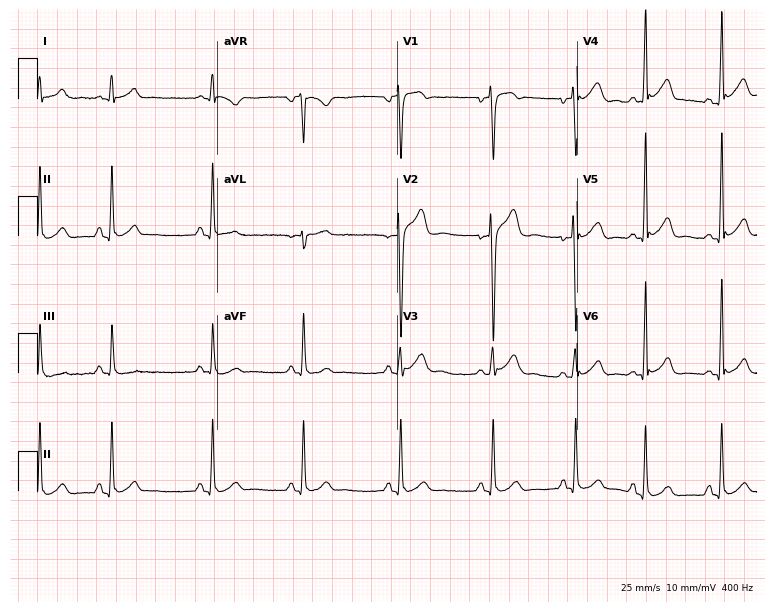
Electrocardiogram, a male, 19 years old. Overall reading on record: normal ECG.